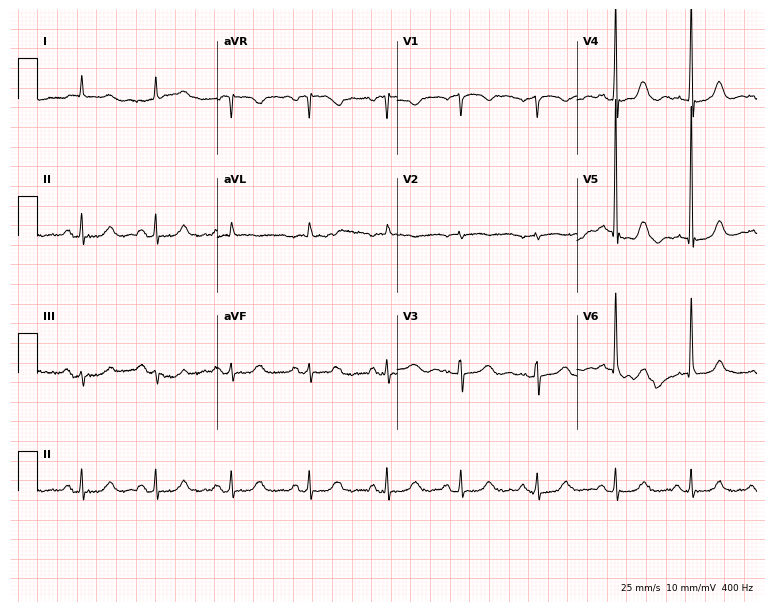
12-lead ECG from a 78-year-old female patient (7.3-second recording at 400 Hz). Recorded interpretation: within normal limits.